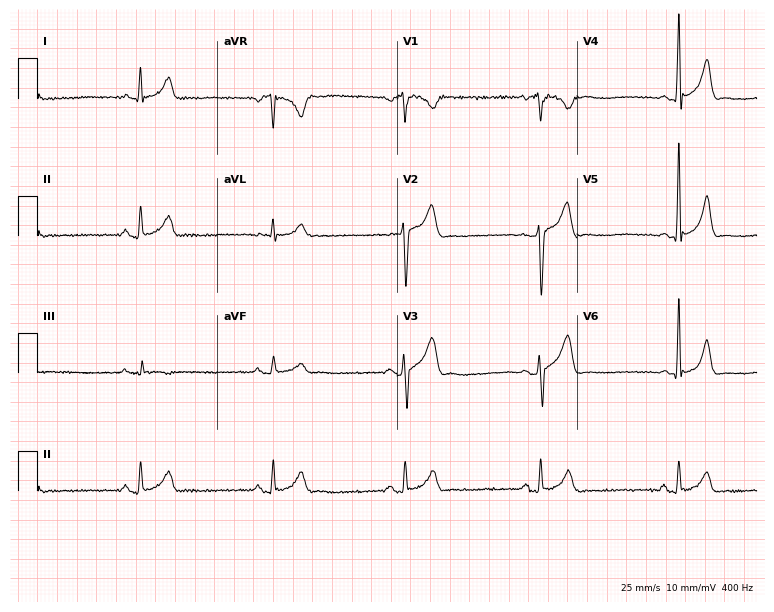
Standard 12-lead ECG recorded from a man, 32 years old (7.3-second recording at 400 Hz). None of these six findings is recorded: first-degree AV block, right bundle branch block (RBBB), left bundle branch block (LBBB), sinus bradycardia, atrial fibrillation (AF), sinus tachycardia.